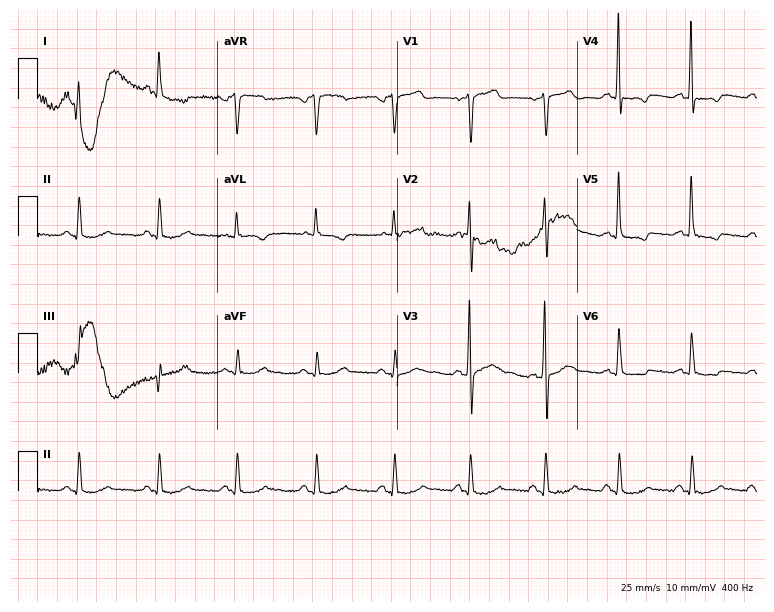
12-lead ECG from a 61-year-old man (7.3-second recording at 400 Hz). No first-degree AV block, right bundle branch block, left bundle branch block, sinus bradycardia, atrial fibrillation or sinus tachycardia recorded for this tracing. Only these six findings were labelled.